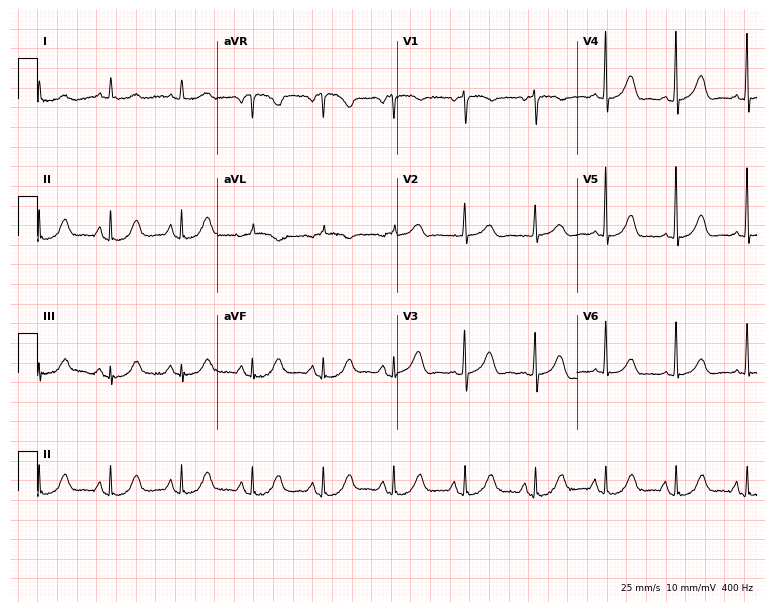
Resting 12-lead electrocardiogram (7.3-second recording at 400 Hz). Patient: an 85-year-old female. None of these six findings is recorded: first-degree AV block, right bundle branch block (RBBB), left bundle branch block (LBBB), sinus bradycardia, atrial fibrillation (AF), sinus tachycardia. Only these six findings were labelled.